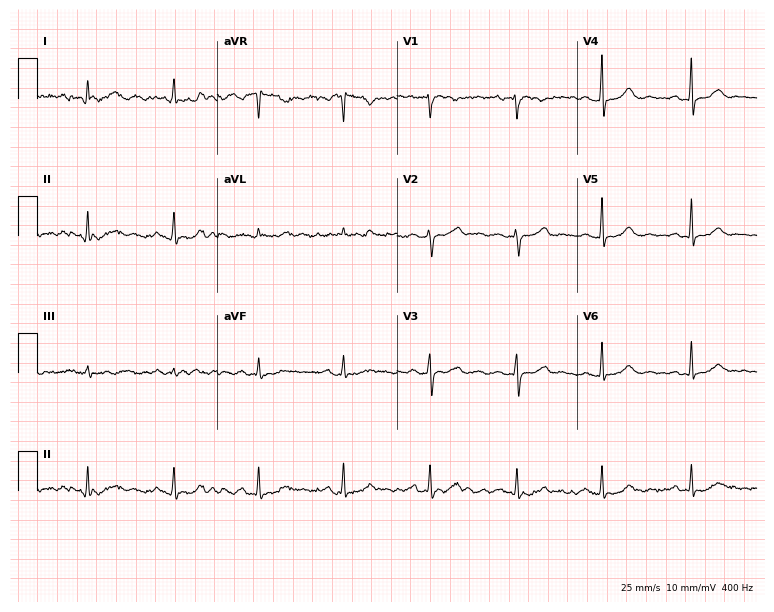
Electrocardiogram, a 44-year-old female patient. Of the six screened findings (first-degree AV block, right bundle branch block, left bundle branch block, sinus bradycardia, atrial fibrillation, sinus tachycardia), none is recorded.